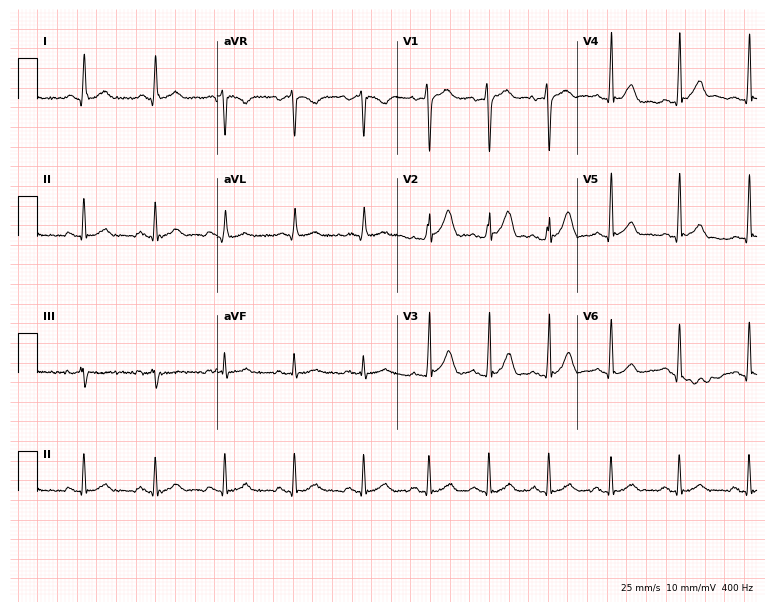
Standard 12-lead ECG recorded from a male patient, 47 years old. None of these six findings is recorded: first-degree AV block, right bundle branch block (RBBB), left bundle branch block (LBBB), sinus bradycardia, atrial fibrillation (AF), sinus tachycardia.